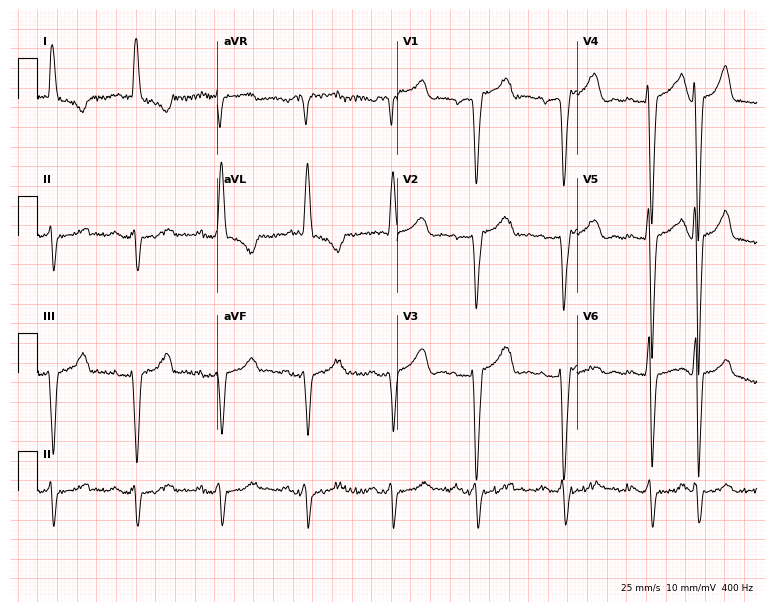
Standard 12-lead ECG recorded from a male patient, 76 years old (7.3-second recording at 400 Hz). The tracing shows left bundle branch block (LBBB).